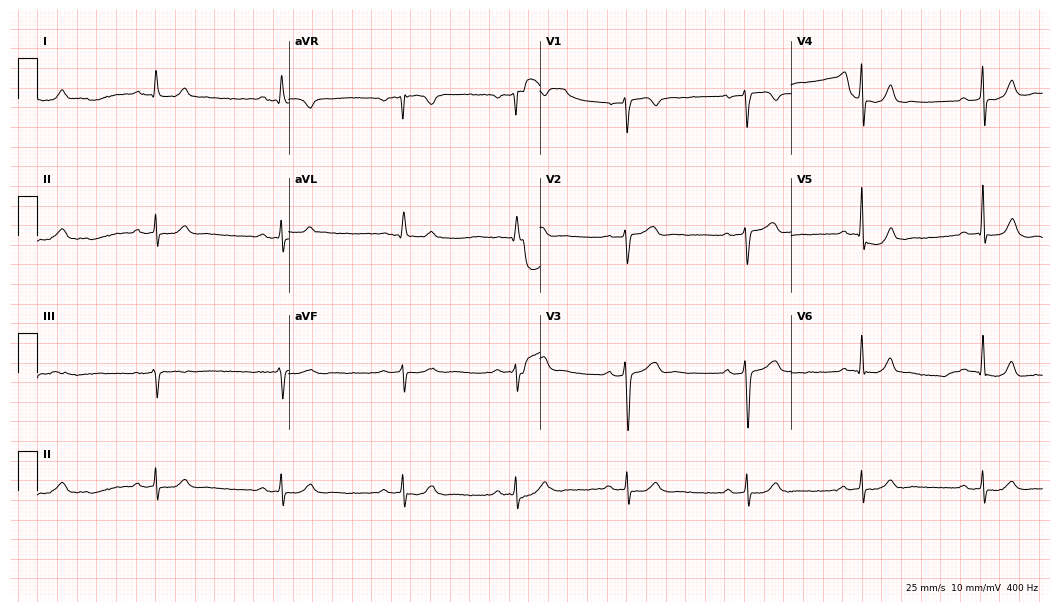
Electrocardiogram, a 70-year-old male patient. Interpretation includes sinus bradycardia (a sinus rate of 50 beats per minute or less).